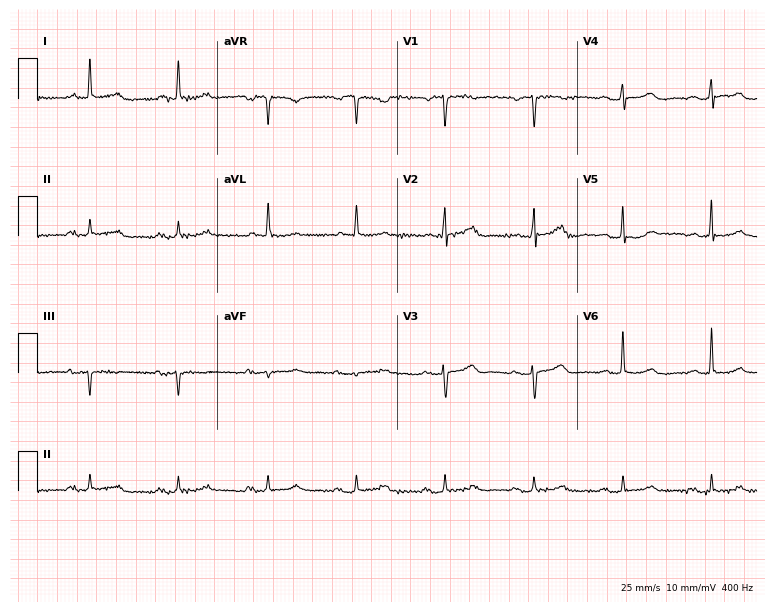
12-lead ECG from a female patient, 76 years old. Labelled as a normal ECG.